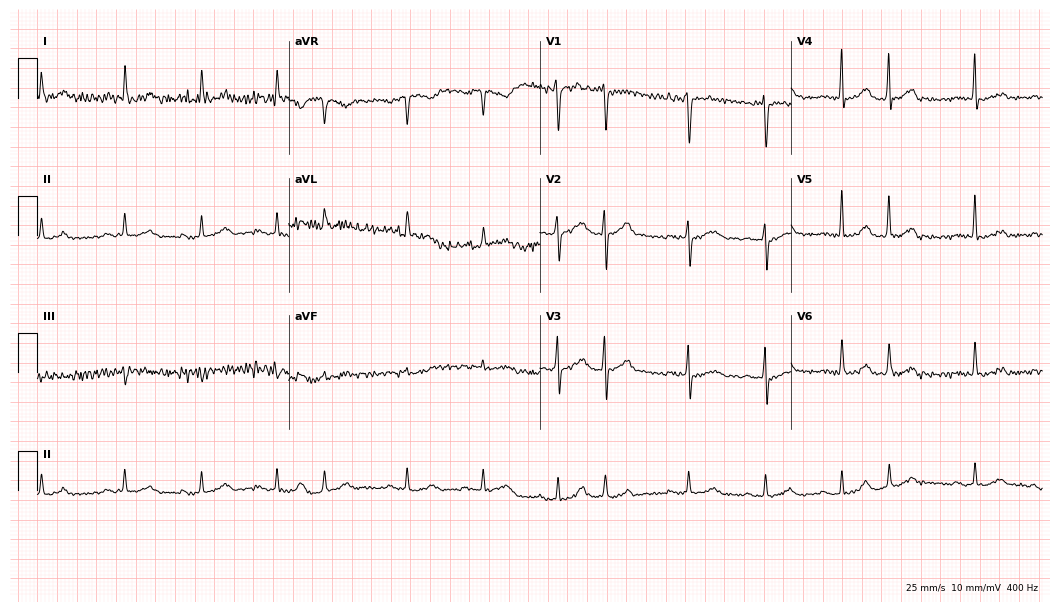
Standard 12-lead ECG recorded from a male patient, 66 years old (10.2-second recording at 400 Hz). None of these six findings is recorded: first-degree AV block, right bundle branch block (RBBB), left bundle branch block (LBBB), sinus bradycardia, atrial fibrillation (AF), sinus tachycardia.